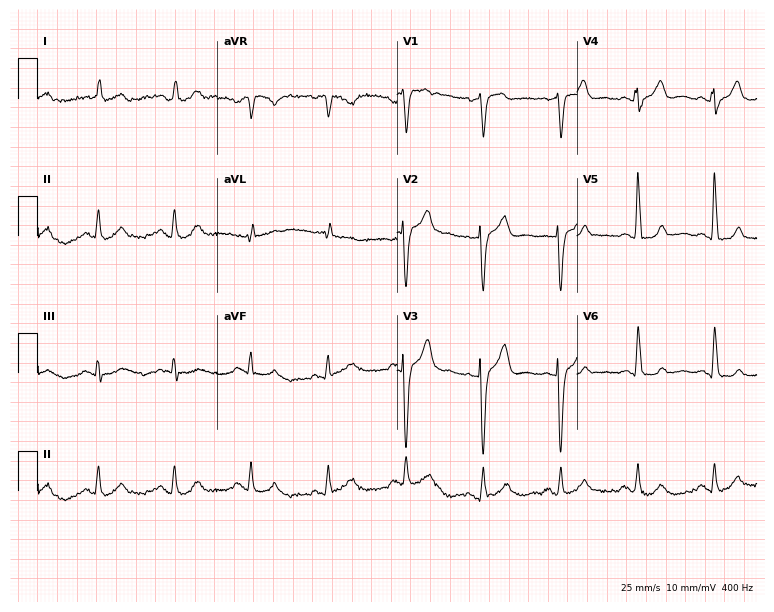
Electrocardiogram, a male, 69 years old. Overall reading on record: normal ECG.